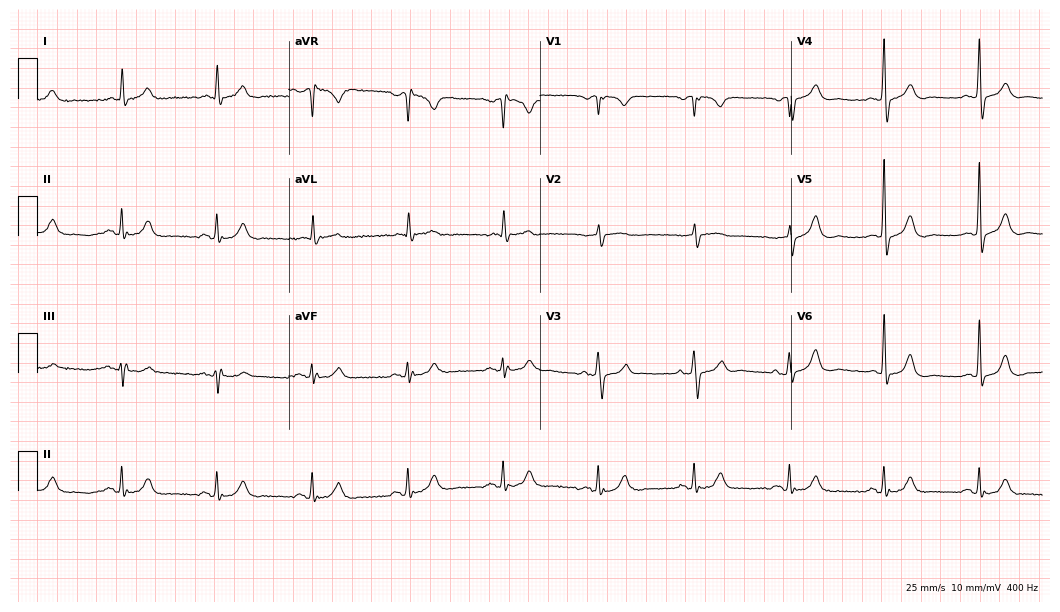
Standard 12-lead ECG recorded from a man, 77 years old. Read as a normal ECG.